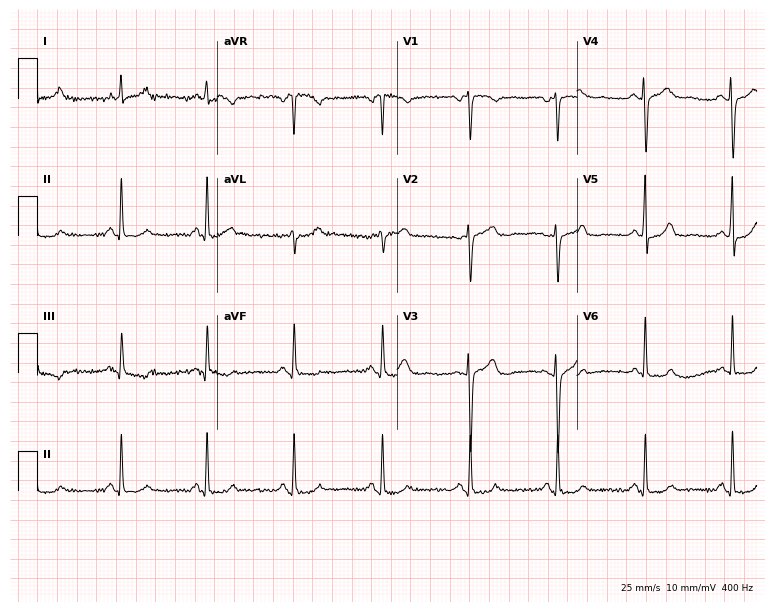
12-lead ECG from a 56-year-old female patient. Screened for six findings — first-degree AV block, right bundle branch block, left bundle branch block, sinus bradycardia, atrial fibrillation, sinus tachycardia — none is recorded. Other findings, if any, are not listed.